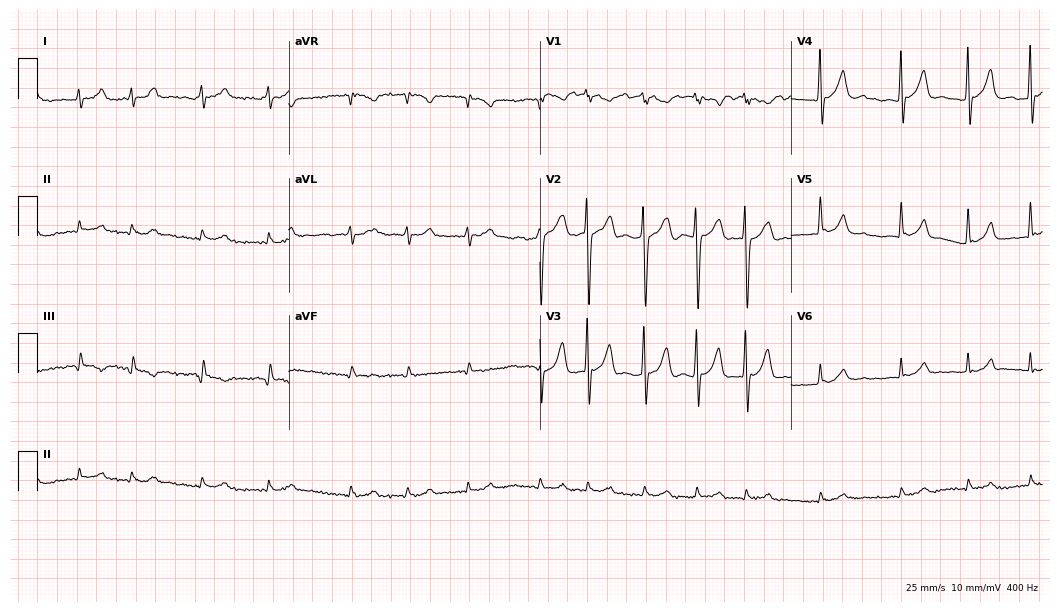
Standard 12-lead ECG recorded from a male, 82 years old (10.2-second recording at 400 Hz). The tracing shows atrial fibrillation.